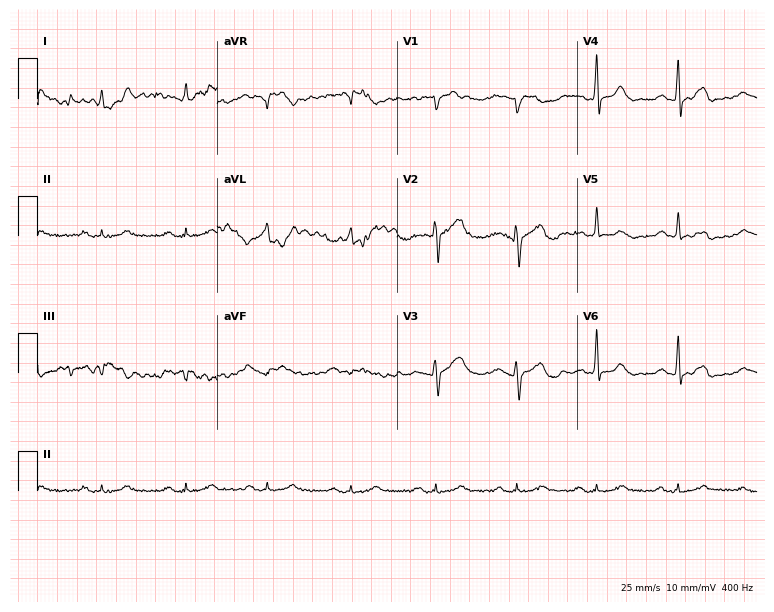
Resting 12-lead electrocardiogram (7.3-second recording at 400 Hz). Patient: a male, 59 years old. Read as a normal ECG.